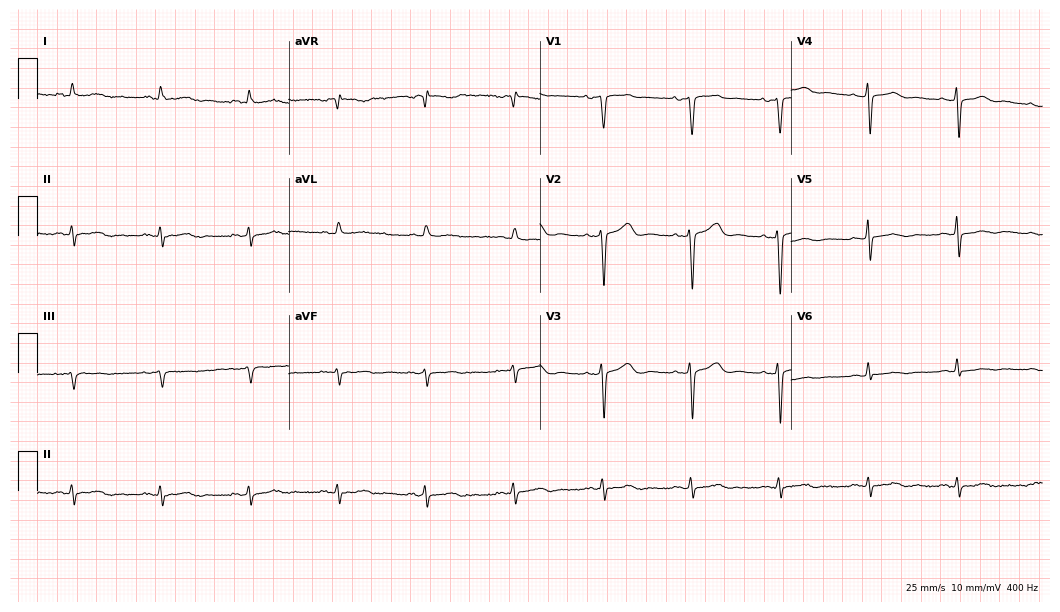
Resting 12-lead electrocardiogram. Patient: a female, 60 years old. None of these six findings is recorded: first-degree AV block, right bundle branch block, left bundle branch block, sinus bradycardia, atrial fibrillation, sinus tachycardia.